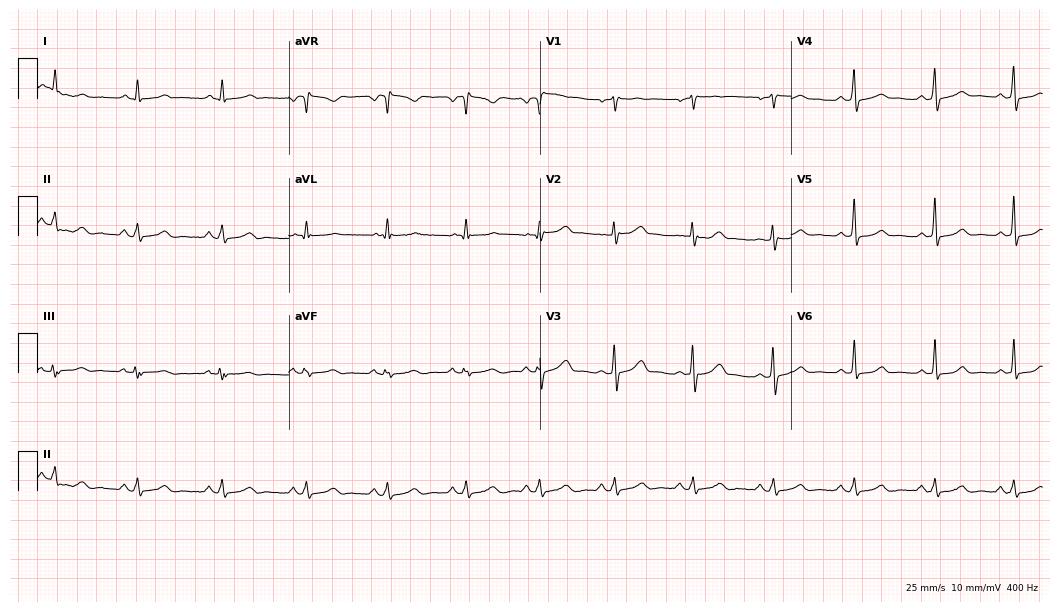
Electrocardiogram, a 37-year-old female. Of the six screened findings (first-degree AV block, right bundle branch block (RBBB), left bundle branch block (LBBB), sinus bradycardia, atrial fibrillation (AF), sinus tachycardia), none is recorded.